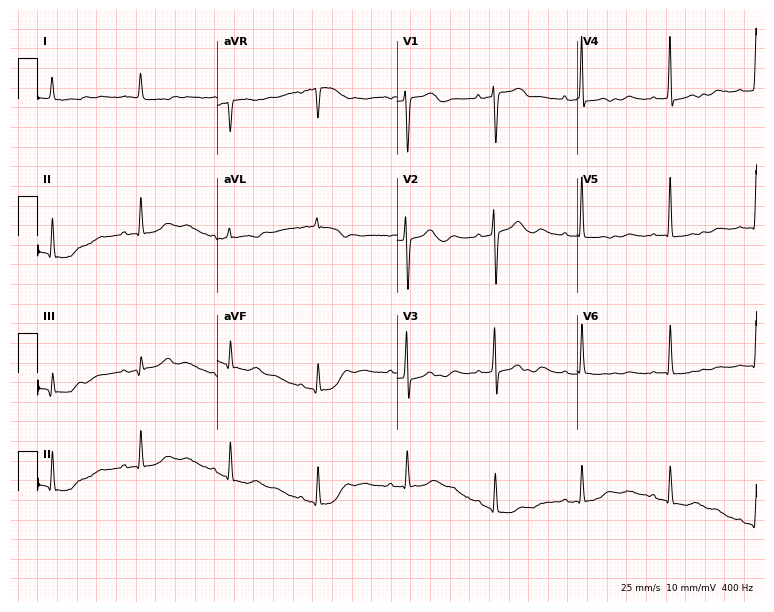
Resting 12-lead electrocardiogram. Patient: a 79-year-old female. None of these six findings is recorded: first-degree AV block, right bundle branch block, left bundle branch block, sinus bradycardia, atrial fibrillation, sinus tachycardia.